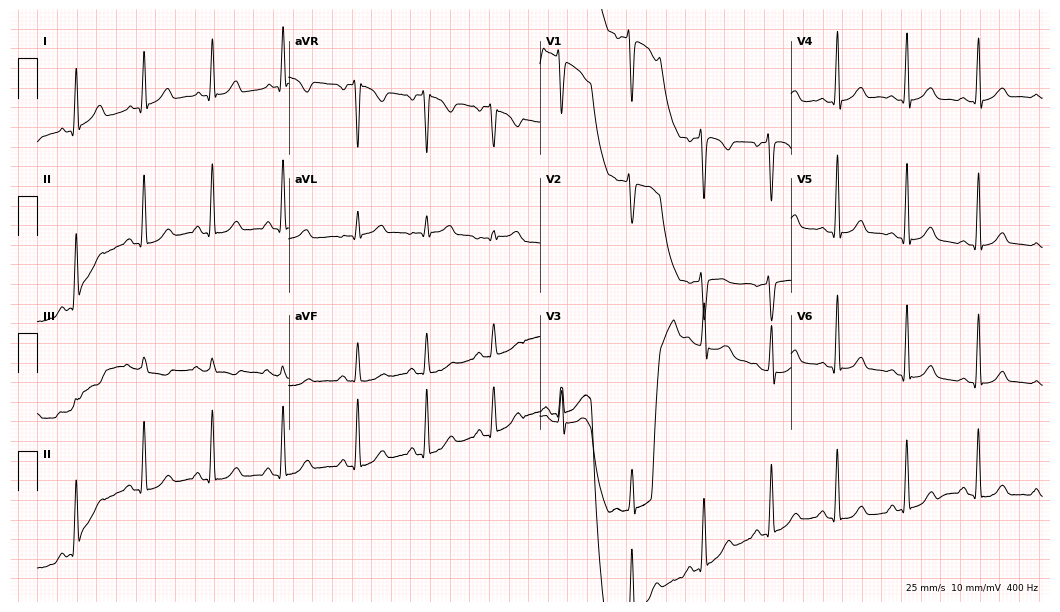
Resting 12-lead electrocardiogram. Patient: a 25-year-old female. None of these six findings is recorded: first-degree AV block, right bundle branch block, left bundle branch block, sinus bradycardia, atrial fibrillation, sinus tachycardia. Other findings, if any, are not listed.